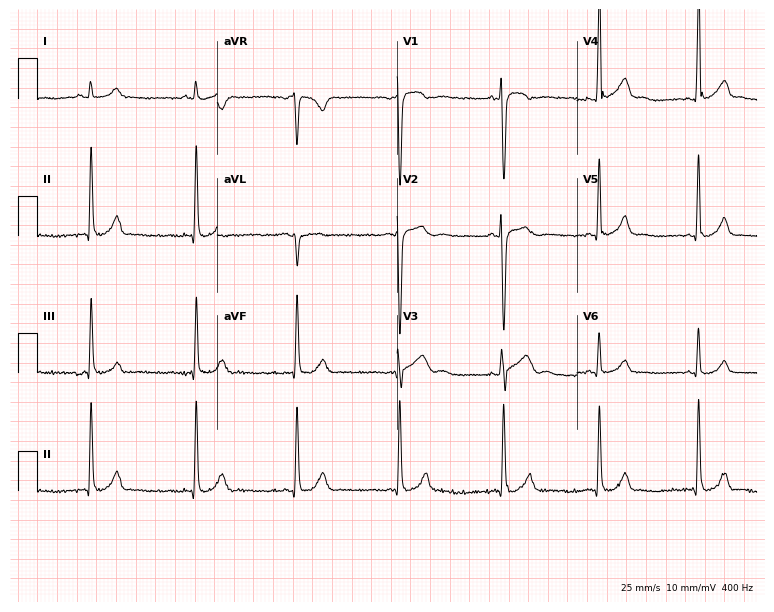
Resting 12-lead electrocardiogram. Patient: a 17-year-old male. None of these six findings is recorded: first-degree AV block, right bundle branch block, left bundle branch block, sinus bradycardia, atrial fibrillation, sinus tachycardia.